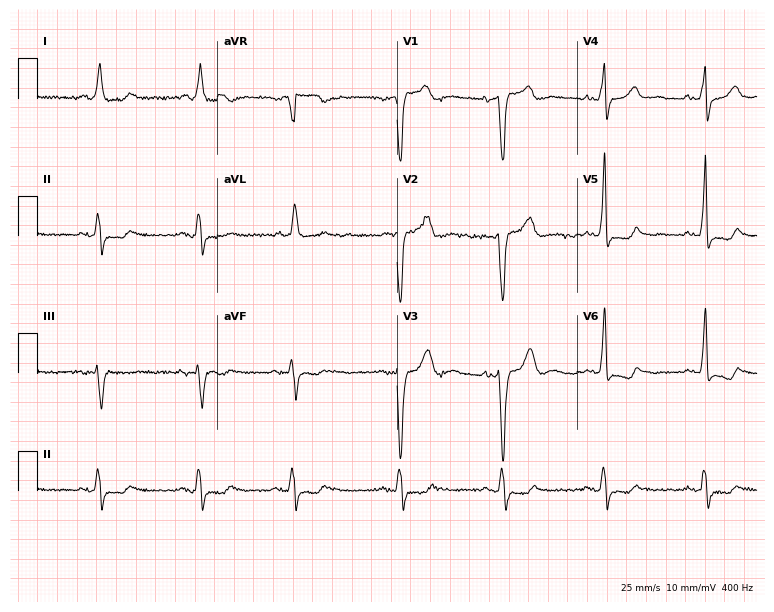
ECG (7.3-second recording at 400 Hz) — a 69-year-old female patient. Findings include left bundle branch block (LBBB).